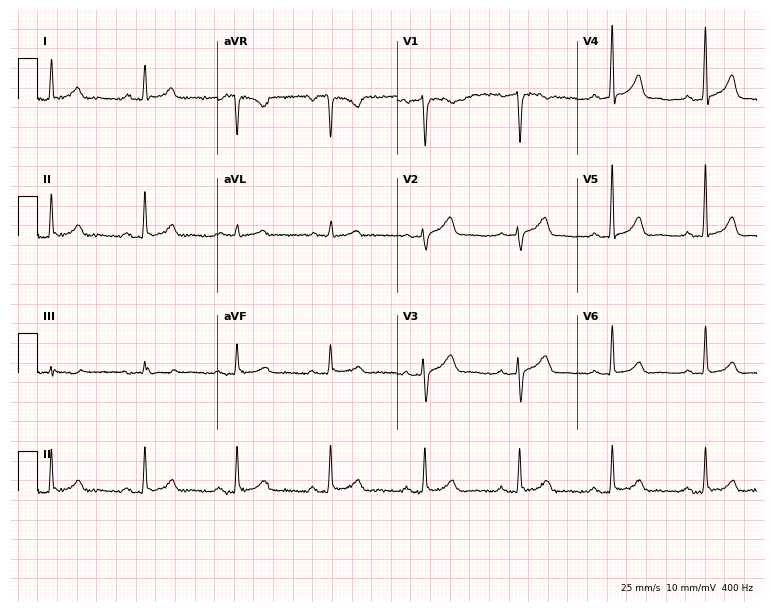
Resting 12-lead electrocardiogram. Patient: a female, 63 years old. Read as a normal ECG.